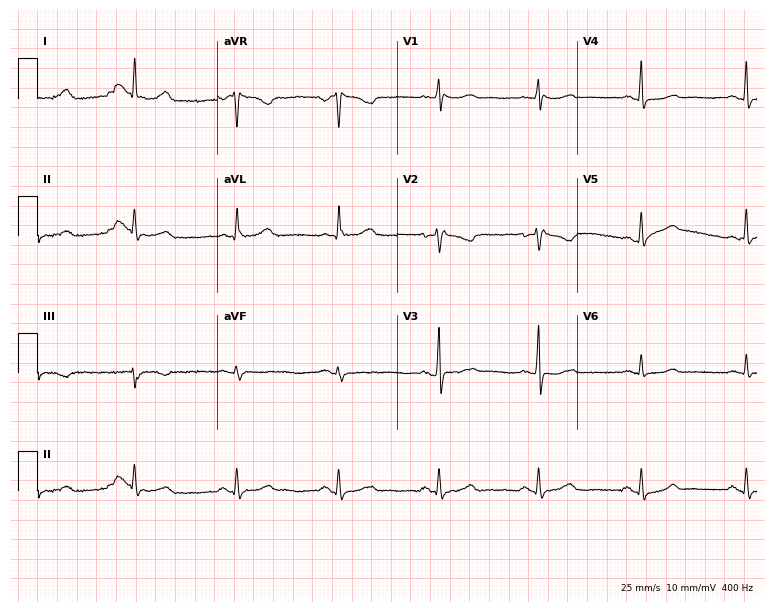
ECG — a 53-year-old woman. Screened for six findings — first-degree AV block, right bundle branch block, left bundle branch block, sinus bradycardia, atrial fibrillation, sinus tachycardia — none is recorded.